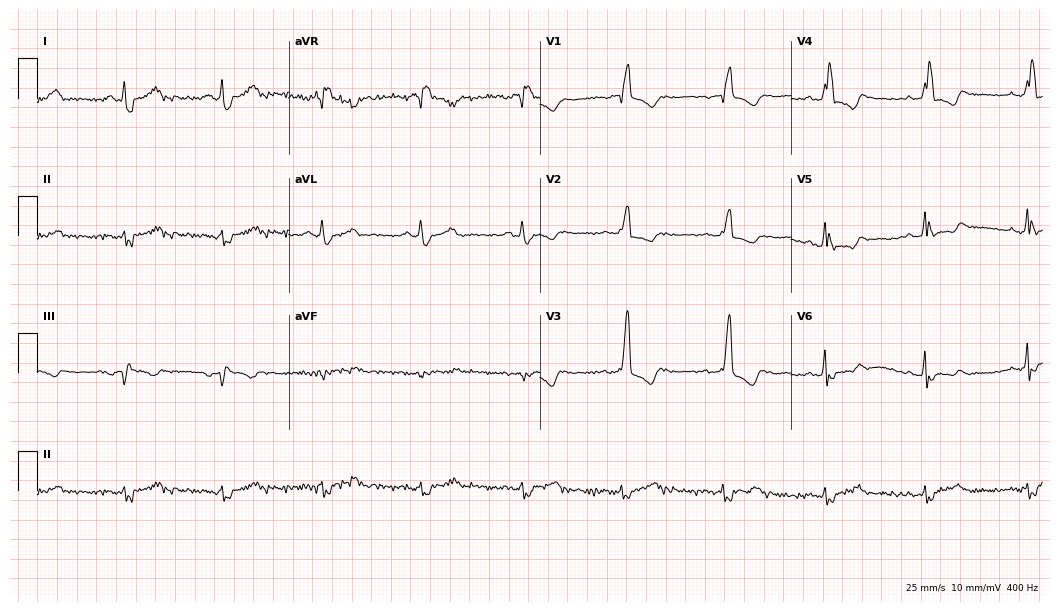
12-lead ECG (10.2-second recording at 400 Hz) from a female patient, 72 years old. Findings include right bundle branch block (RBBB).